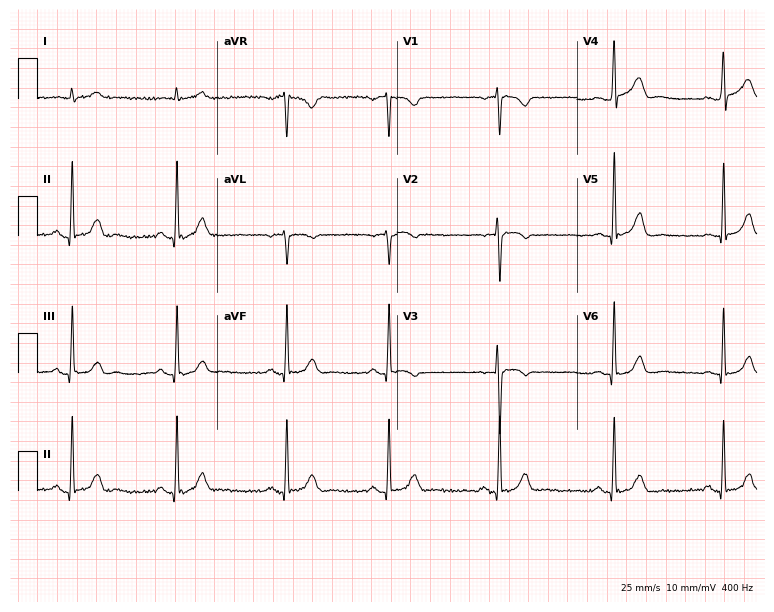
Electrocardiogram, a 33-year-old male. Overall reading on record: normal ECG.